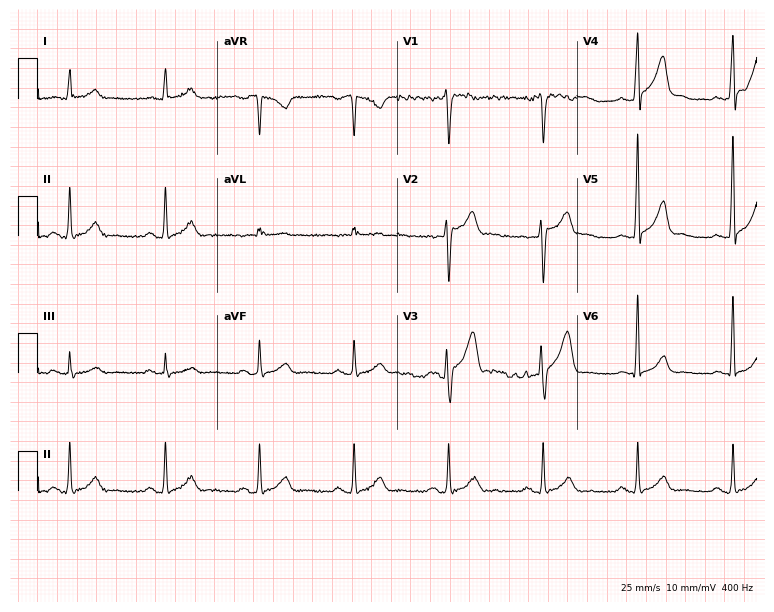
Electrocardiogram, a man, 53 years old. Of the six screened findings (first-degree AV block, right bundle branch block (RBBB), left bundle branch block (LBBB), sinus bradycardia, atrial fibrillation (AF), sinus tachycardia), none is recorded.